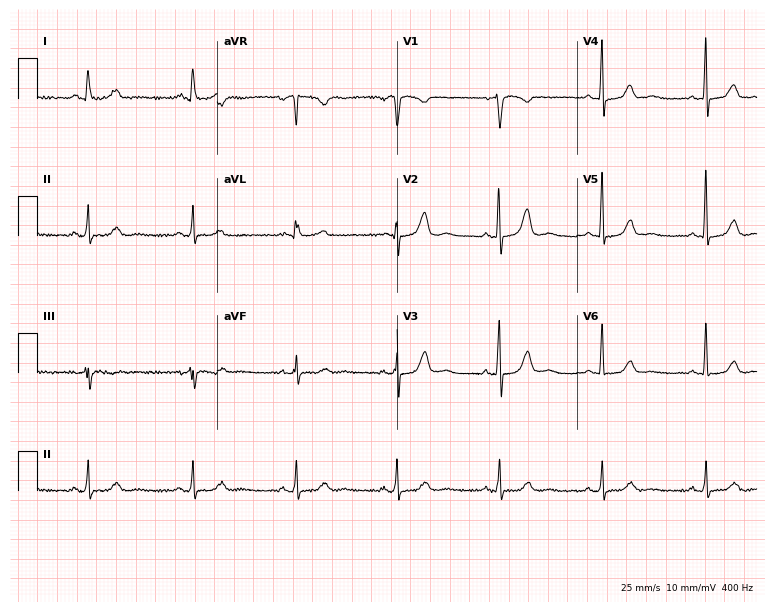
Standard 12-lead ECG recorded from a female patient, 58 years old (7.3-second recording at 400 Hz). Read as a normal ECG.